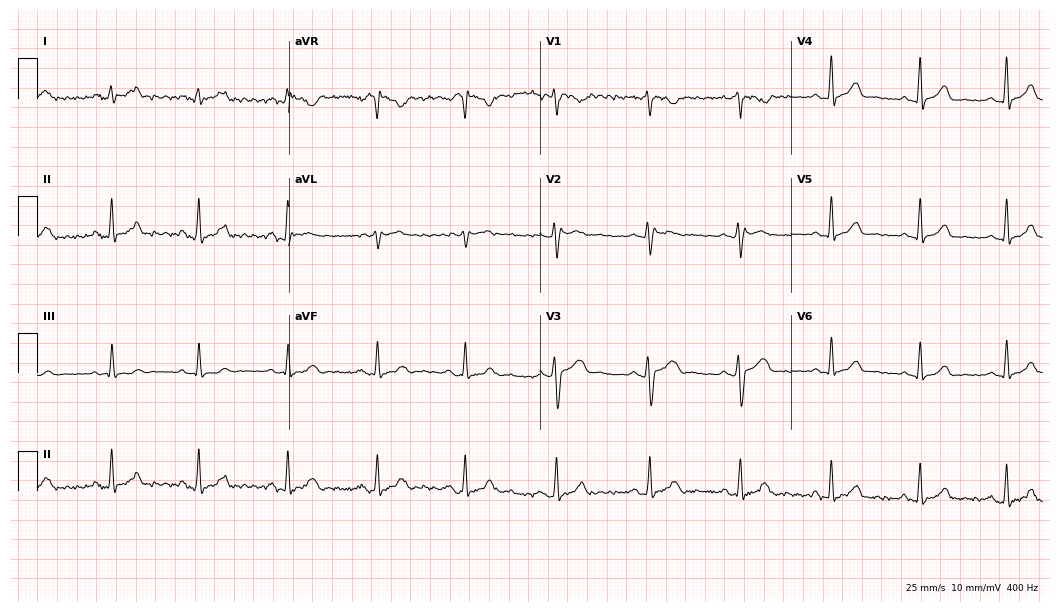
ECG — a 32-year-old woman. Screened for six findings — first-degree AV block, right bundle branch block, left bundle branch block, sinus bradycardia, atrial fibrillation, sinus tachycardia — none is recorded. Other findings, if any, are not listed.